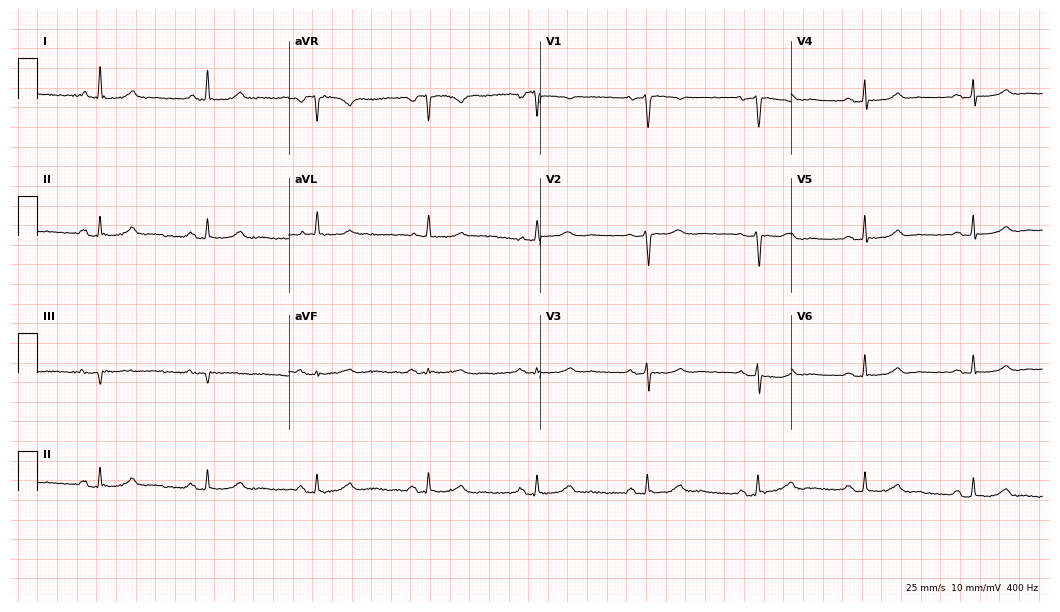
Resting 12-lead electrocardiogram. Patient: a female, 58 years old. Read as a normal ECG.